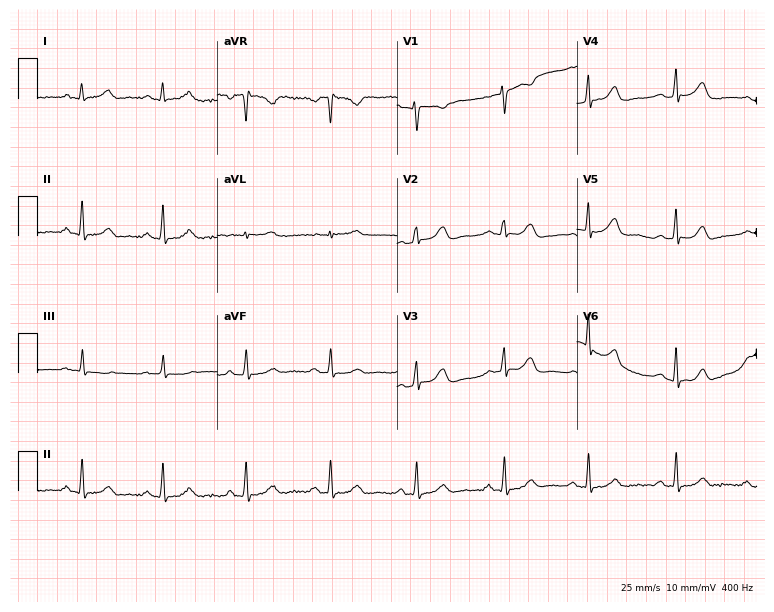
Resting 12-lead electrocardiogram (7.3-second recording at 400 Hz). Patient: a 38-year-old female. None of these six findings is recorded: first-degree AV block, right bundle branch block, left bundle branch block, sinus bradycardia, atrial fibrillation, sinus tachycardia. Findings outside these six are not listed.